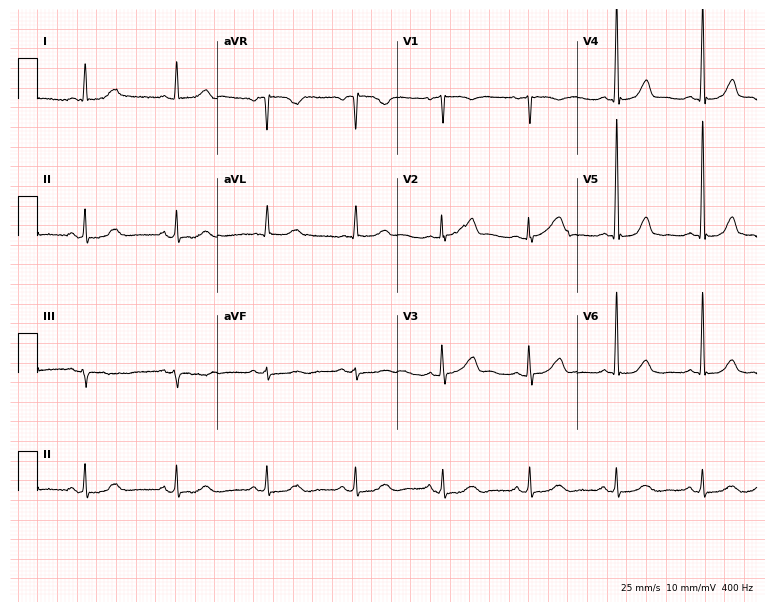
ECG (7.3-second recording at 400 Hz) — a woman, 74 years old. Screened for six findings — first-degree AV block, right bundle branch block (RBBB), left bundle branch block (LBBB), sinus bradycardia, atrial fibrillation (AF), sinus tachycardia — none is recorded. Only these six findings were labelled.